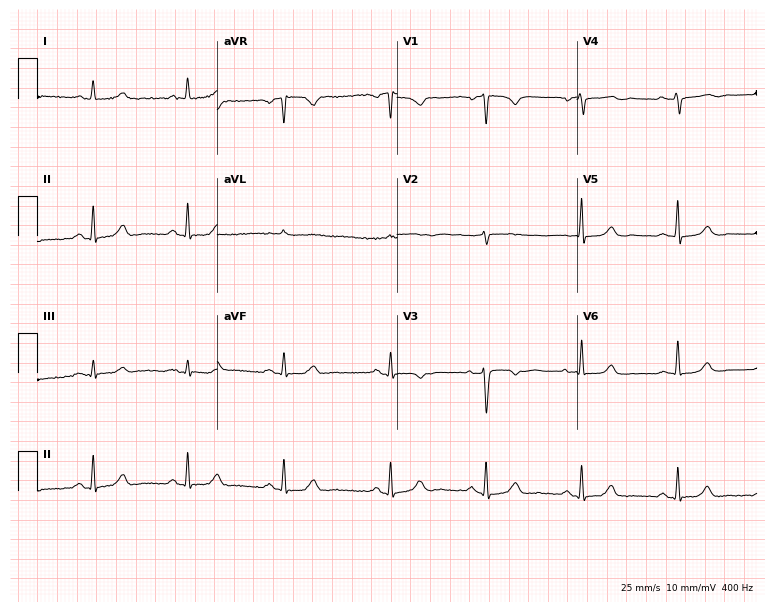
12-lead ECG from a 49-year-old woman. Screened for six findings — first-degree AV block, right bundle branch block, left bundle branch block, sinus bradycardia, atrial fibrillation, sinus tachycardia — none is recorded.